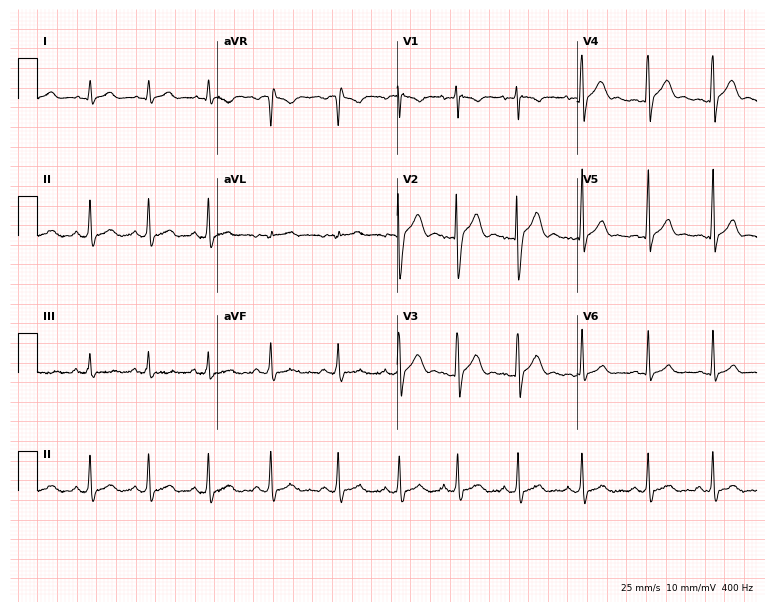
12-lead ECG from a 20-year-old male (7.3-second recording at 400 Hz). Recorded interpretation: within normal limits.